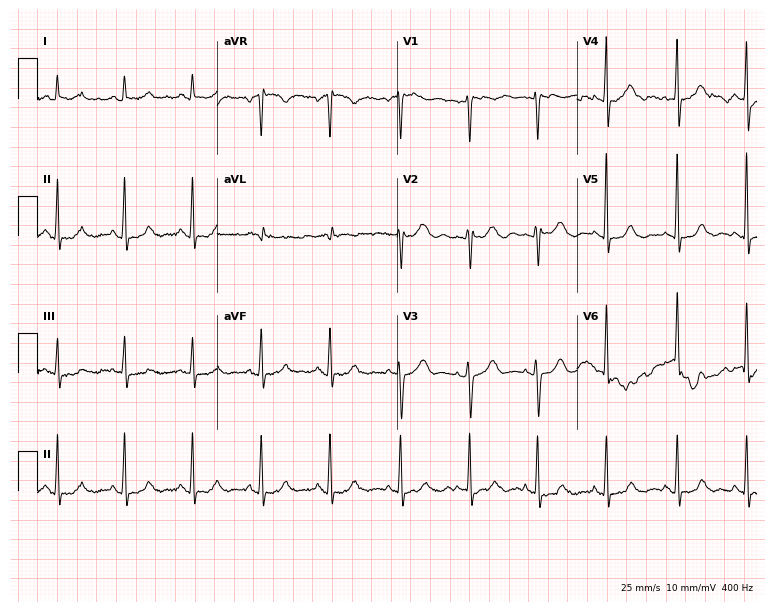
Standard 12-lead ECG recorded from a 64-year-old female. Read as a normal ECG.